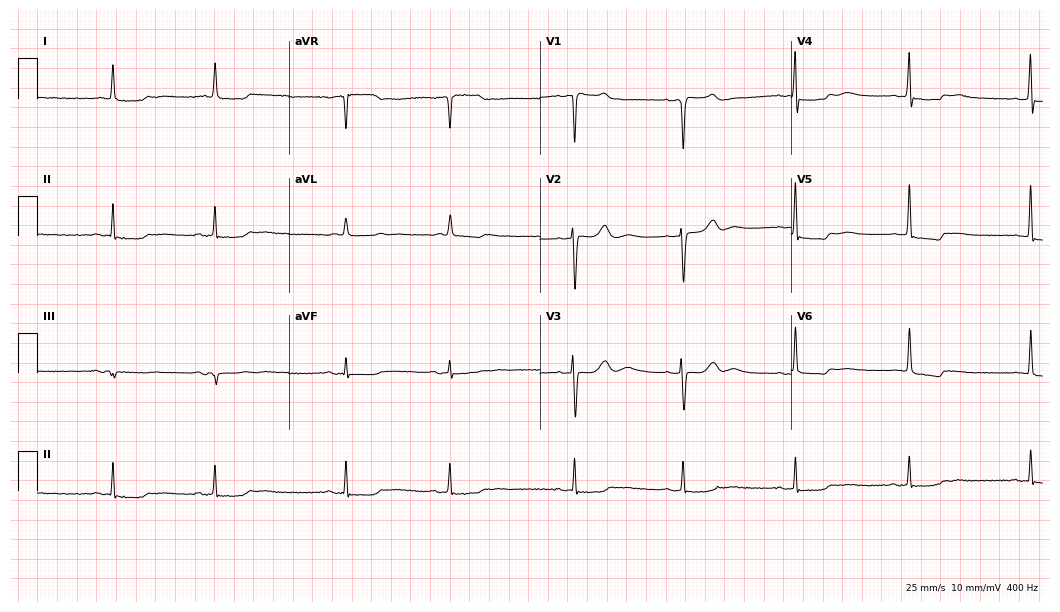
12-lead ECG from an 88-year-old female (10.2-second recording at 400 Hz). No first-degree AV block, right bundle branch block, left bundle branch block, sinus bradycardia, atrial fibrillation or sinus tachycardia recorded for this tracing.